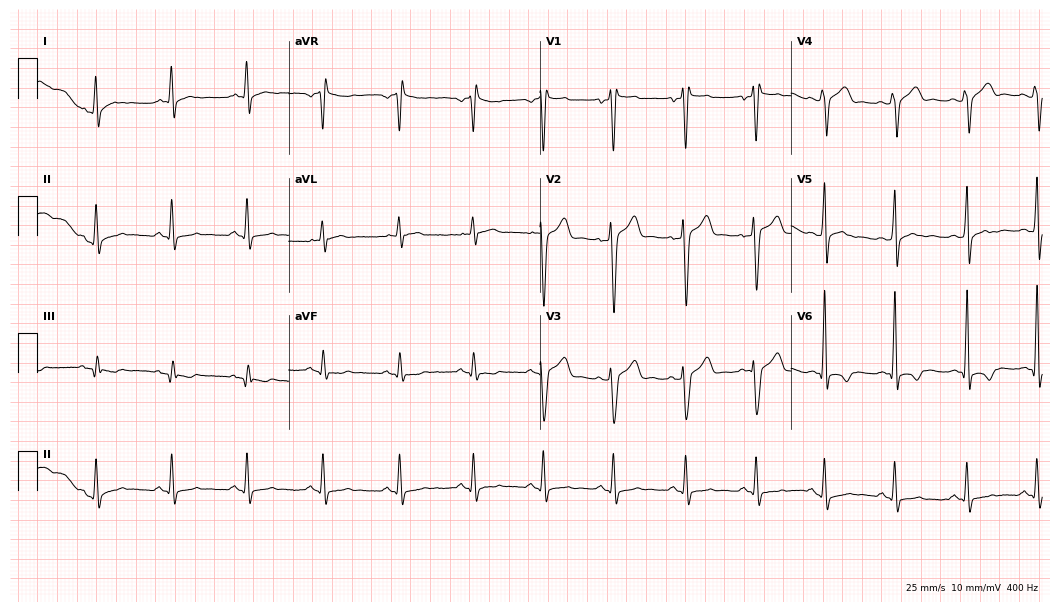
Resting 12-lead electrocardiogram. Patient: a man, 20 years old. None of these six findings is recorded: first-degree AV block, right bundle branch block, left bundle branch block, sinus bradycardia, atrial fibrillation, sinus tachycardia.